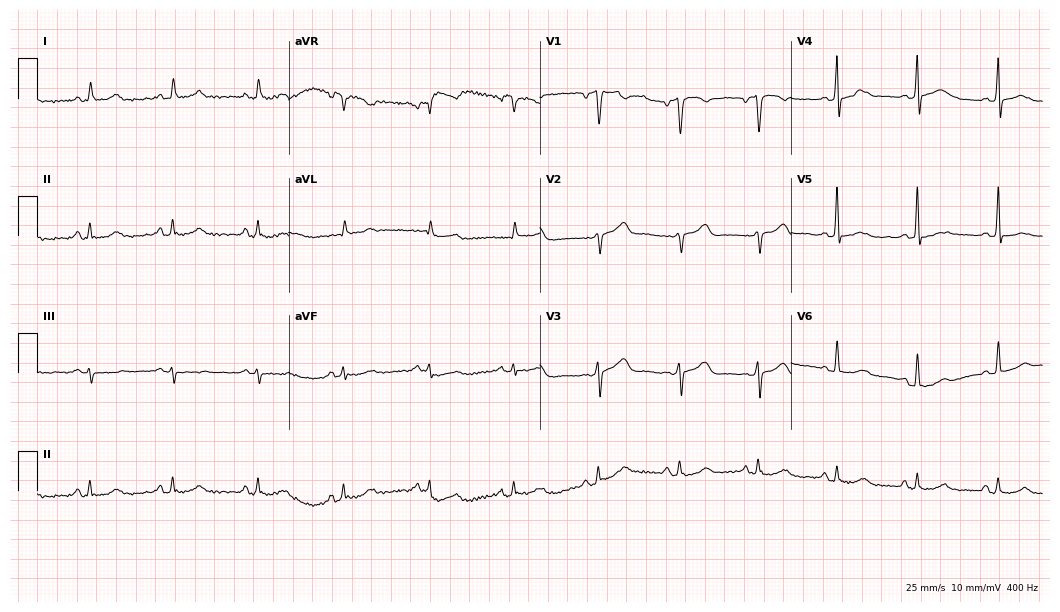
Standard 12-lead ECG recorded from a man, 82 years old (10.2-second recording at 400 Hz). Read as a normal ECG.